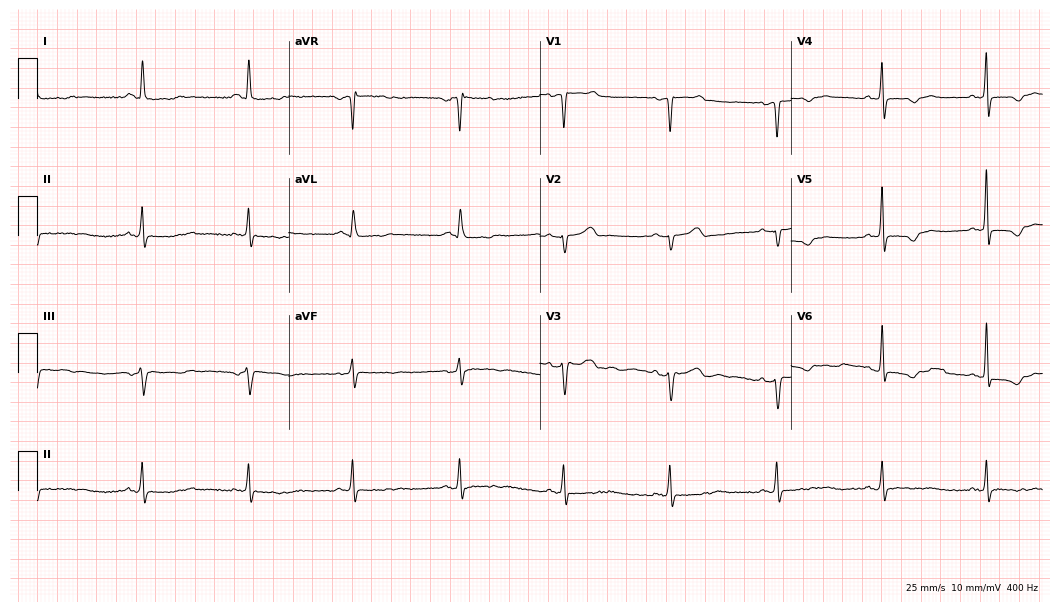
12-lead ECG (10.2-second recording at 400 Hz) from a 61-year-old woman. Screened for six findings — first-degree AV block, right bundle branch block (RBBB), left bundle branch block (LBBB), sinus bradycardia, atrial fibrillation (AF), sinus tachycardia — none is recorded. Findings outside these six are not listed.